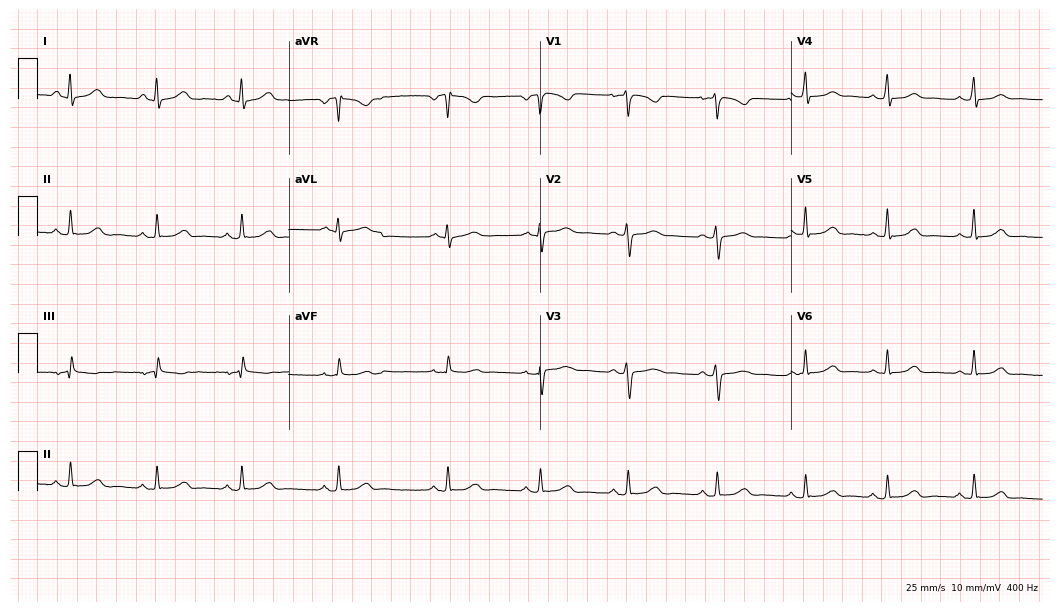
Standard 12-lead ECG recorded from a 40-year-old woman (10.2-second recording at 400 Hz). Read as a normal ECG.